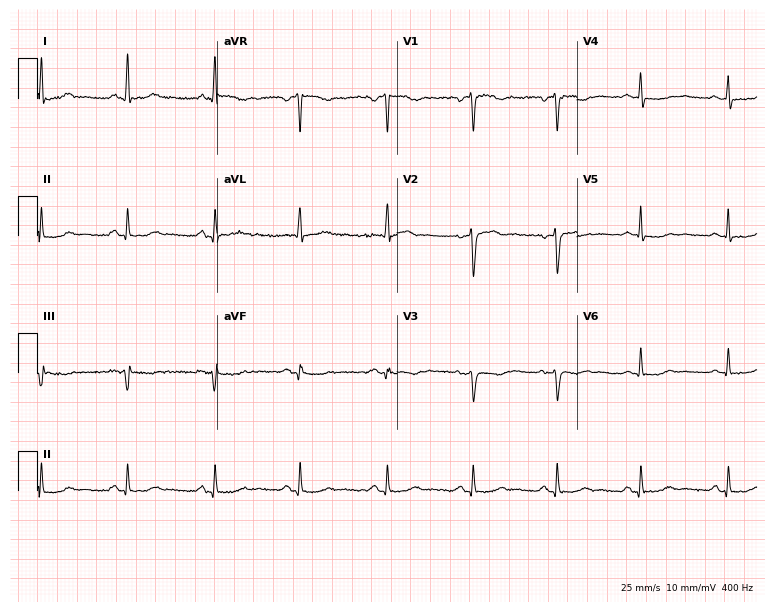
Electrocardiogram, a female patient, 53 years old. Of the six screened findings (first-degree AV block, right bundle branch block, left bundle branch block, sinus bradycardia, atrial fibrillation, sinus tachycardia), none is recorded.